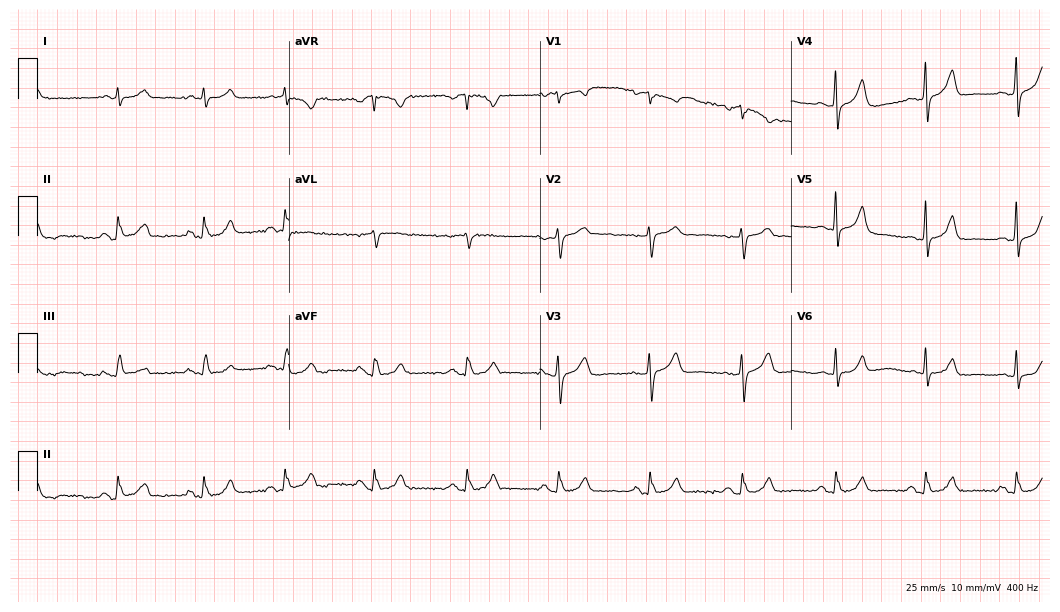
12-lead ECG (10.2-second recording at 400 Hz) from a male, 81 years old. Screened for six findings — first-degree AV block, right bundle branch block, left bundle branch block, sinus bradycardia, atrial fibrillation, sinus tachycardia — none is recorded. Findings outside these six are not listed.